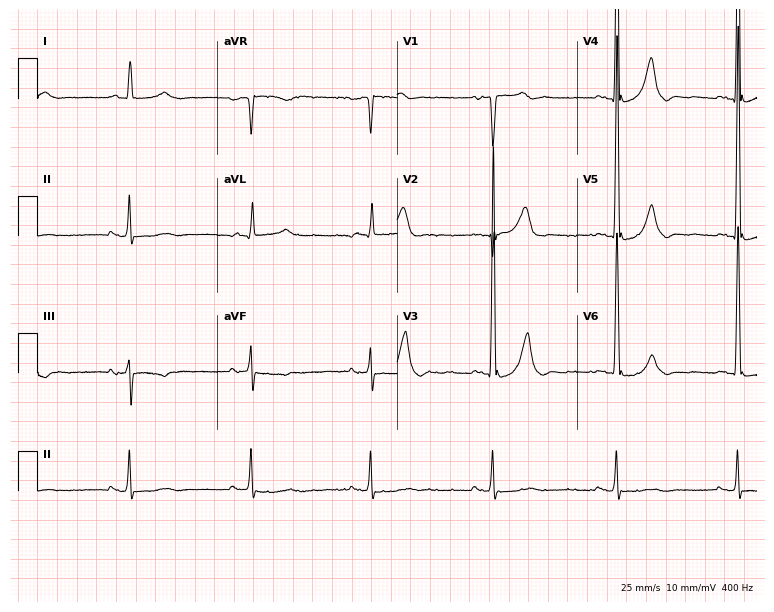
12-lead ECG (7.3-second recording at 400 Hz) from an 83-year-old male patient. Findings include sinus bradycardia (a sinus rate of 50 beats per minute or less).